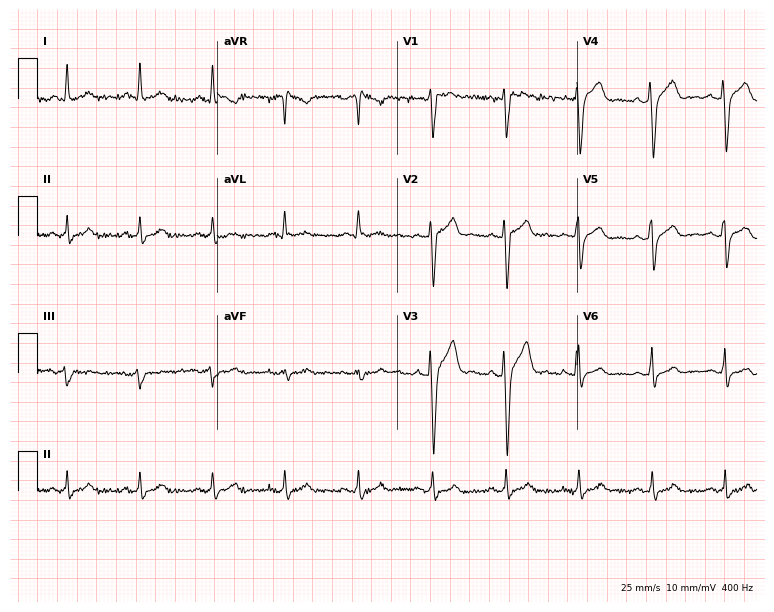
Resting 12-lead electrocardiogram (7.3-second recording at 400 Hz). Patient: a male, 34 years old. Read as a normal ECG.